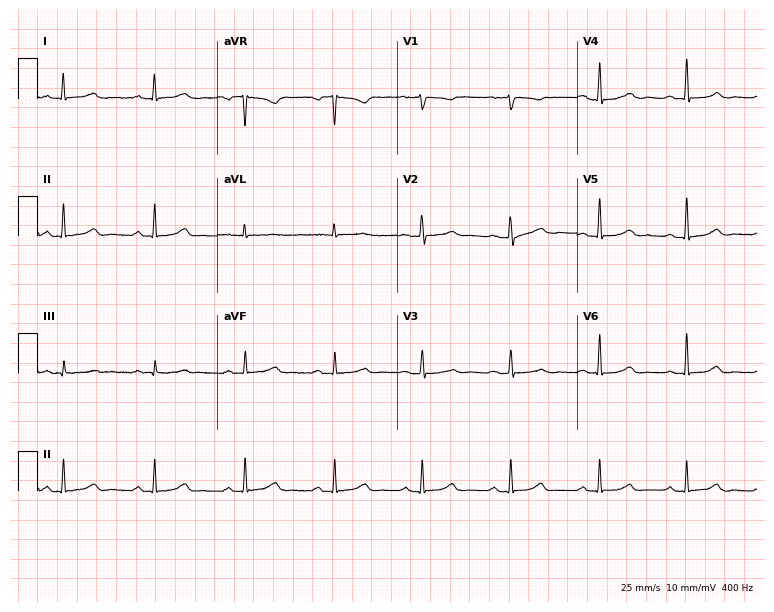
Standard 12-lead ECG recorded from a 65-year-old woman (7.3-second recording at 400 Hz). Read as a normal ECG.